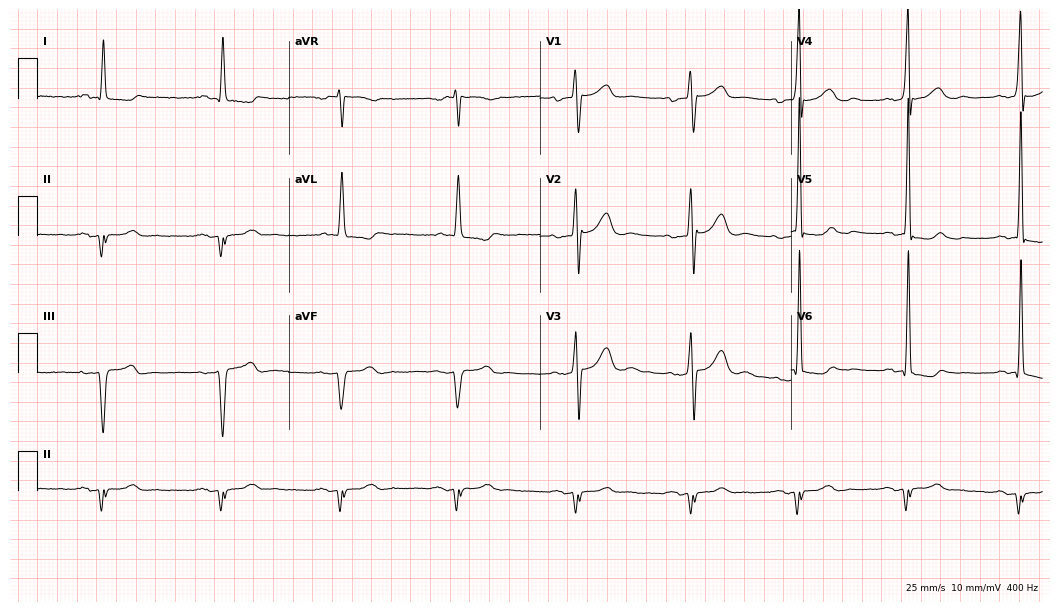
Resting 12-lead electrocardiogram. Patient: a male, 33 years old. None of these six findings is recorded: first-degree AV block, right bundle branch block, left bundle branch block, sinus bradycardia, atrial fibrillation, sinus tachycardia. Only these six findings were labelled.